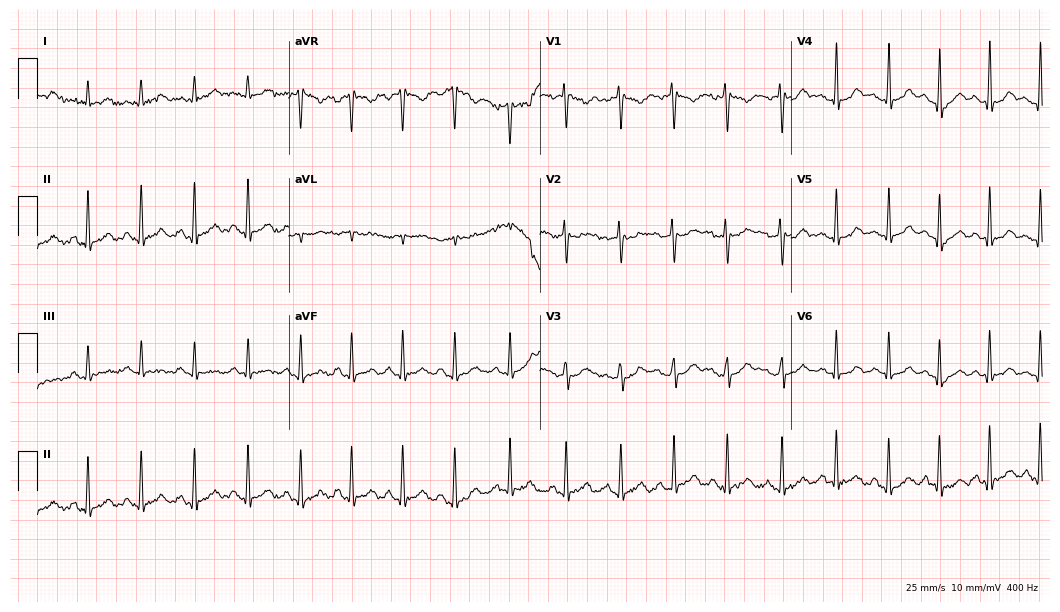
Standard 12-lead ECG recorded from a female, 27 years old (10.2-second recording at 400 Hz). The tracing shows sinus tachycardia (a sinus rate of 100 beats per minute or more).